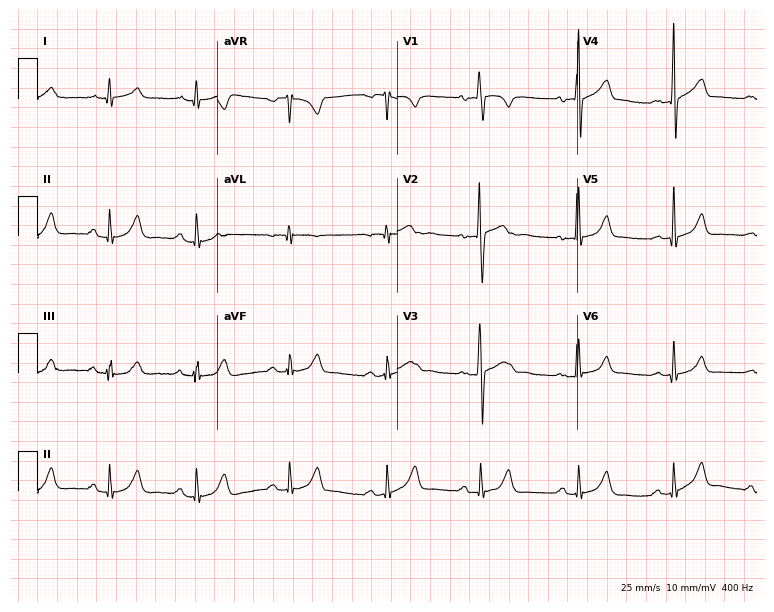
Standard 12-lead ECG recorded from a 29-year-old man. Read as a normal ECG.